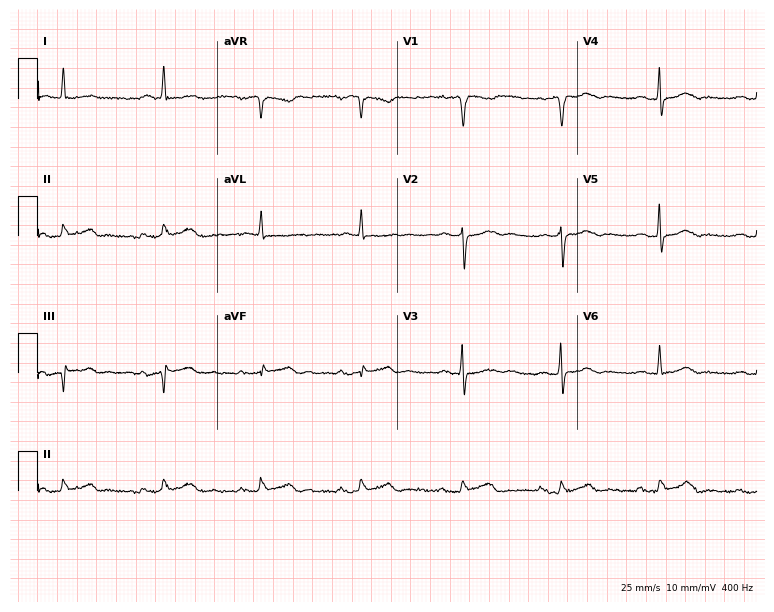
ECG (7.3-second recording at 400 Hz) — a male, 72 years old. Screened for six findings — first-degree AV block, right bundle branch block, left bundle branch block, sinus bradycardia, atrial fibrillation, sinus tachycardia — none is recorded.